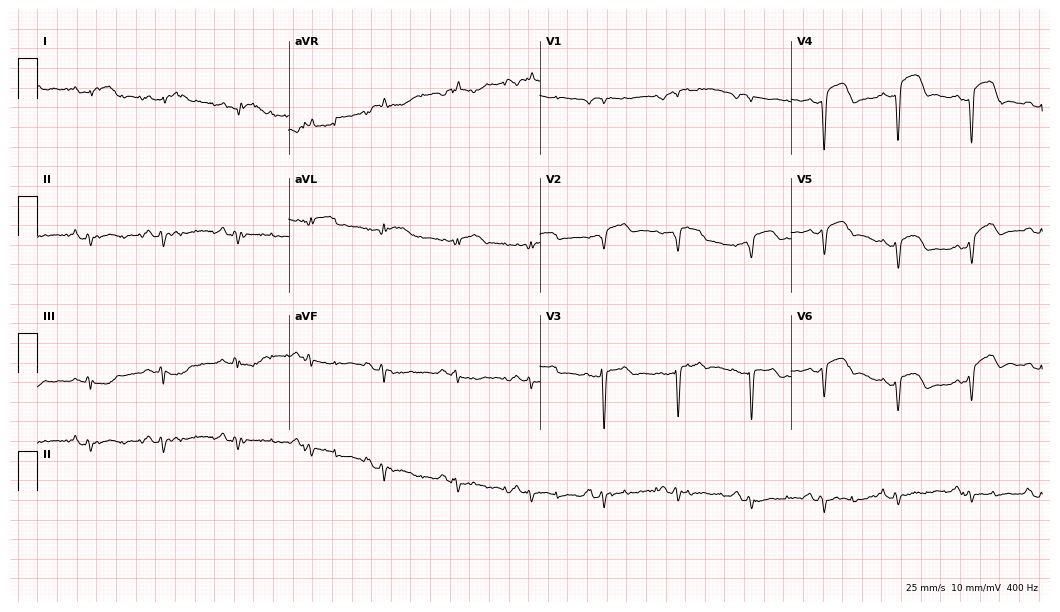
Resting 12-lead electrocardiogram. Patient: an 82-year-old male. None of these six findings is recorded: first-degree AV block, right bundle branch block, left bundle branch block, sinus bradycardia, atrial fibrillation, sinus tachycardia.